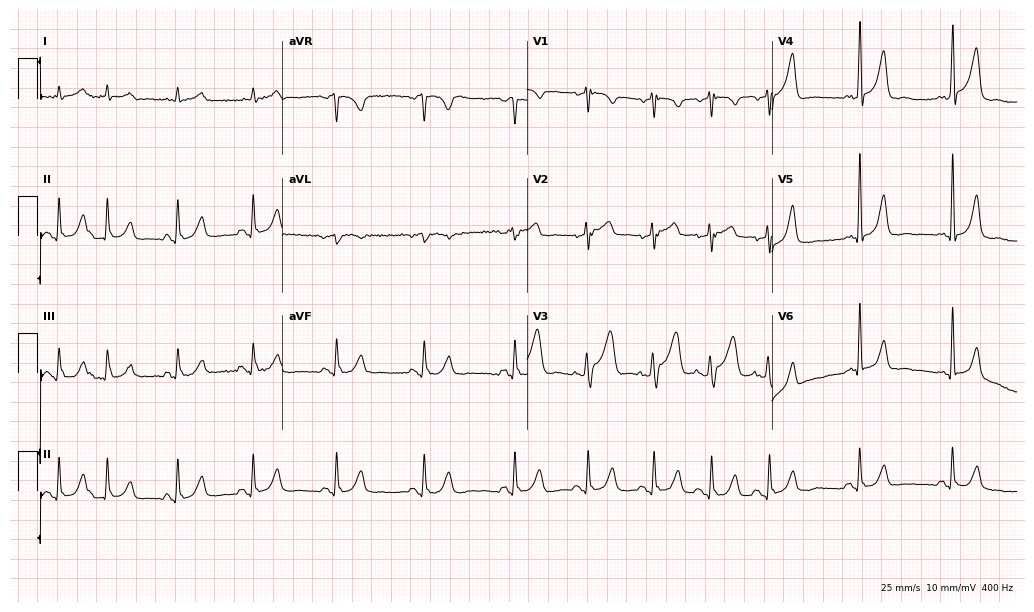
Electrocardiogram, an 82-year-old male. Of the six screened findings (first-degree AV block, right bundle branch block, left bundle branch block, sinus bradycardia, atrial fibrillation, sinus tachycardia), none is recorded. Findings outside these six are not listed.